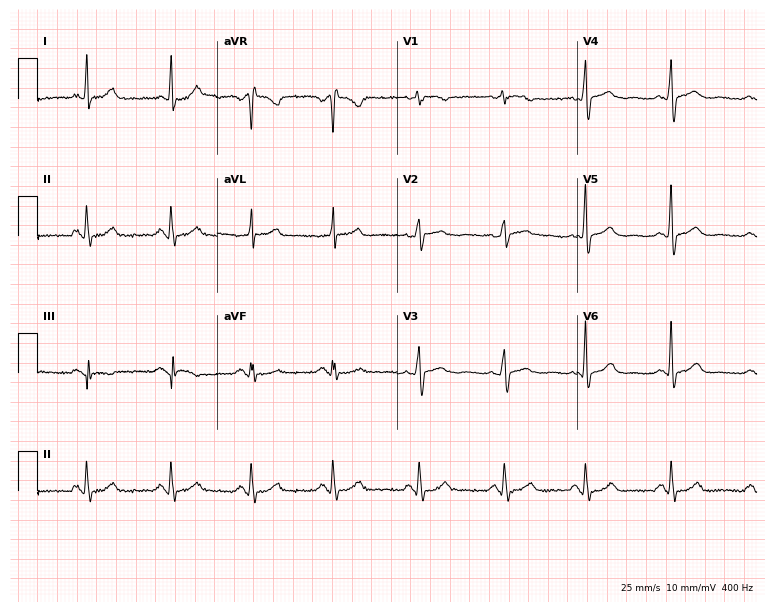
Standard 12-lead ECG recorded from a female patient, 31 years old (7.3-second recording at 400 Hz). None of these six findings is recorded: first-degree AV block, right bundle branch block (RBBB), left bundle branch block (LBBB), sinus bradycardia, atrial fibrillation (AF), sinus tachycardia.